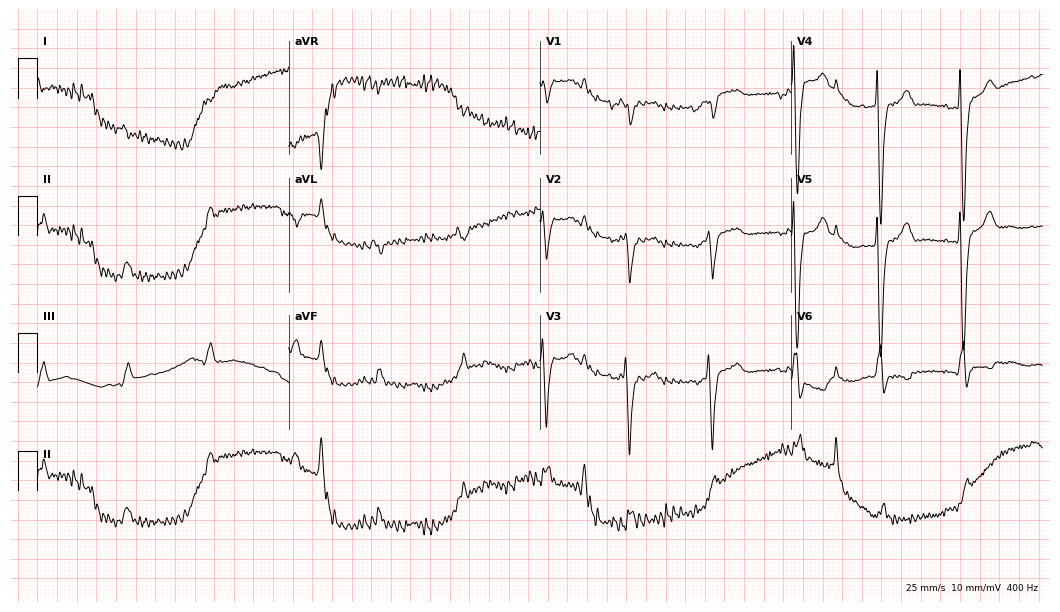
Standard 12-lead ECG recorded from a 74-year-old male patient (10.2-second recording at 400 Hz). None of these six findings is recorded: first-degree AV block, right bundle branch block (RBBB), left bundle branch block (LBBB), sinus bradycardia, atrial fibrillation (AF), sinus tachycardia.